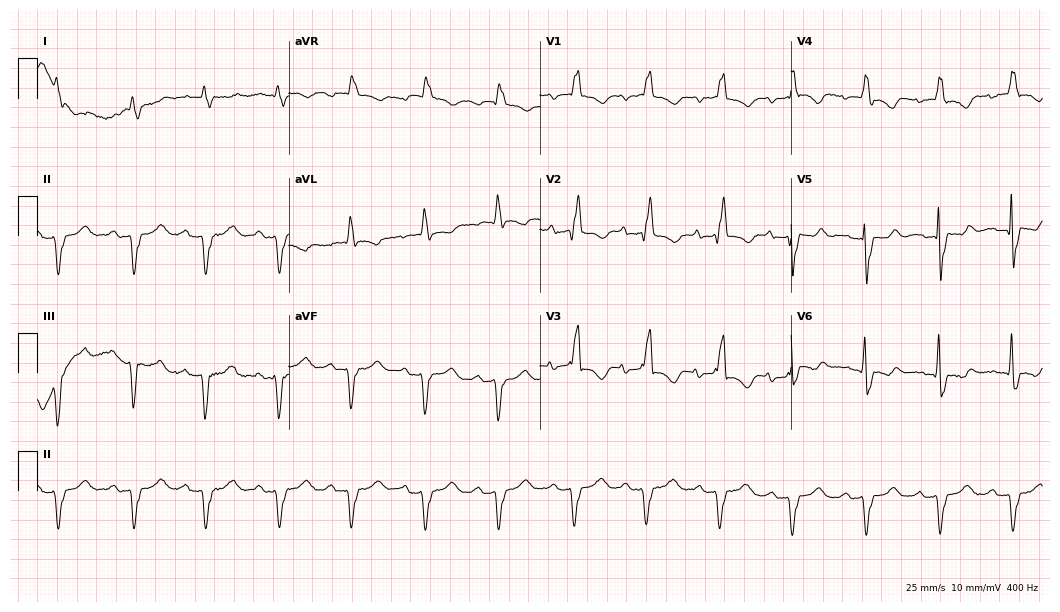
12-lead ECG (10.2-second recording at 400 Hz) from an 83-year-old man. Findings include right bundle branch block.